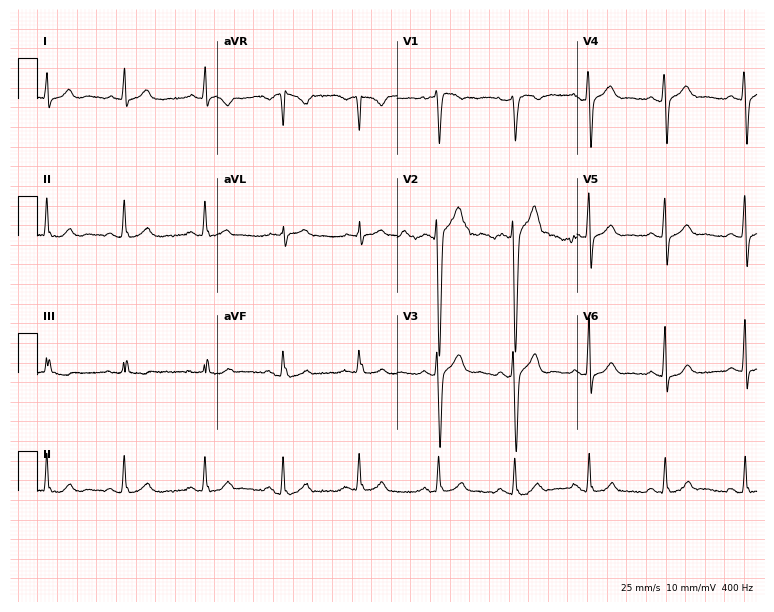
12-lead ECG (7.3-second recording at 400 Hz) from a male patient, 32 years old. Labelled as a normal ECG.